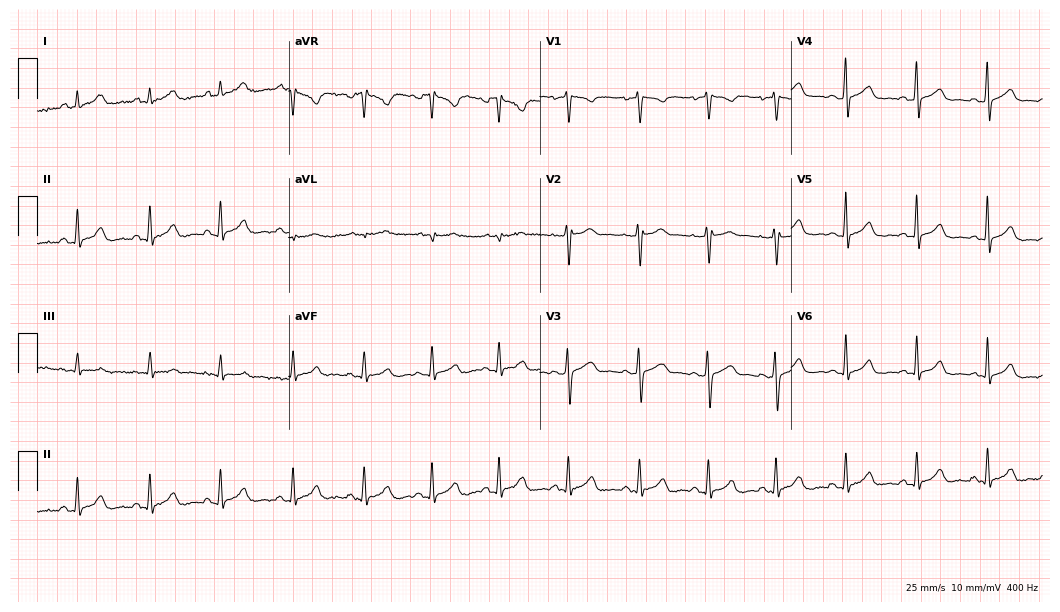
Resting 12-lead electrocardiogram (10.2-second recording at 400 Hz). Patient: a 41-year-old woman. None of these six findings is recorded: first-degree AV block, right bundle branch block (RBBB), left bundle branch block (LBBB), sinus bradycardia, atrial fibrillation (AF), sinus tachycardia. Only these six findings were labelled.